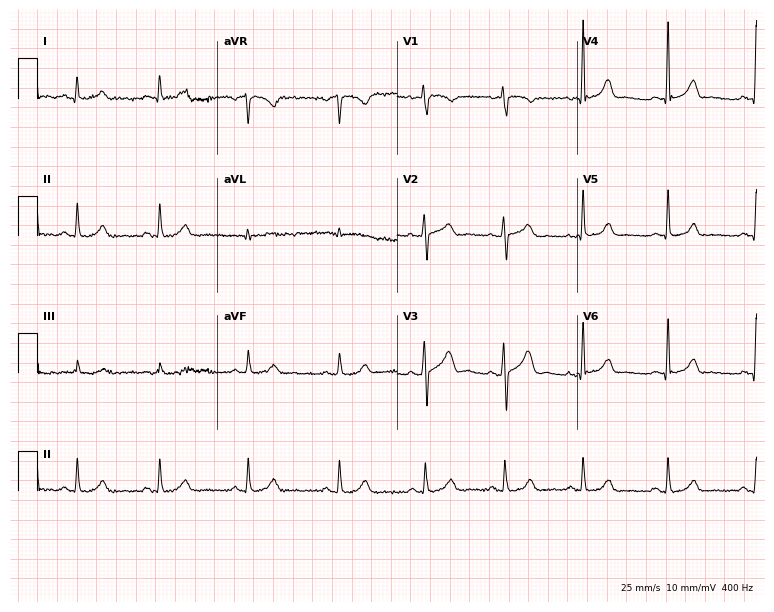
Electrocardiogram, a 28-year-old woman. Overall reading on record: normal ECG.